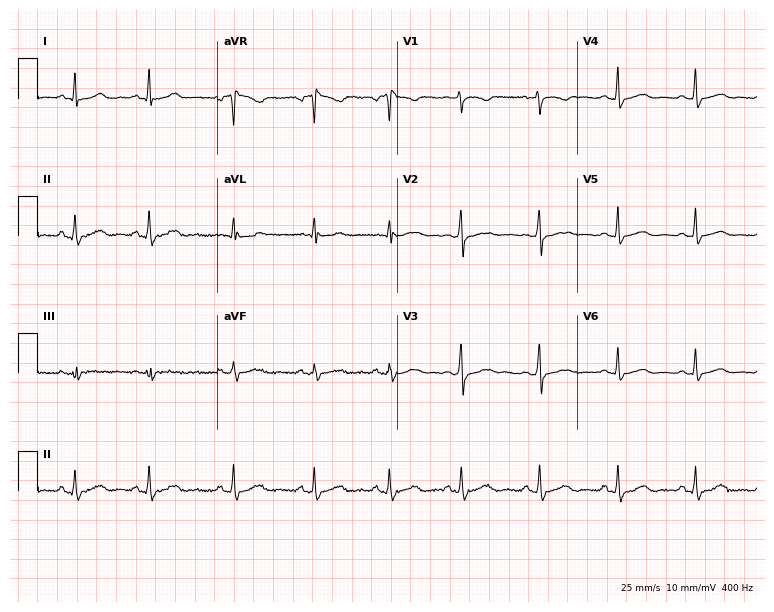
12-lead ECG (7.3-second recording at 400 Hz) from a 31-year-old female patient. Labelled as a normal ECG.